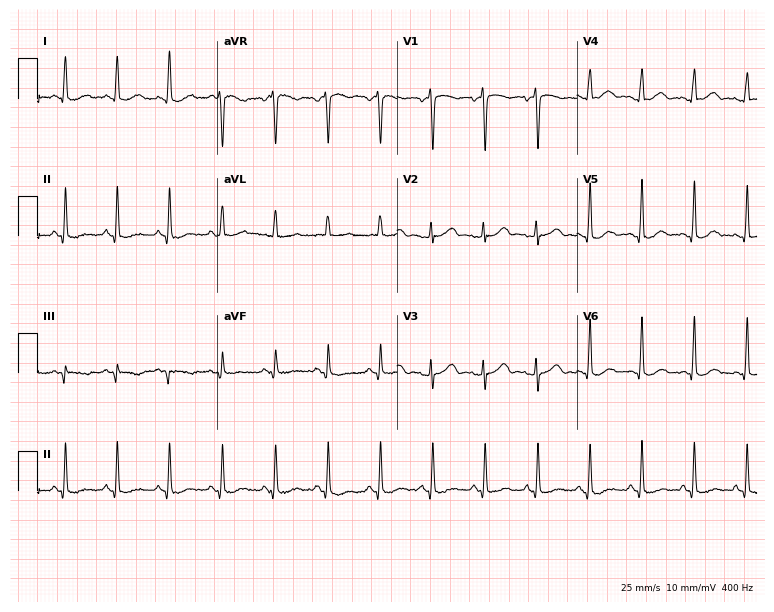
12-lead ECG from a female, 52 years old. Shows sinus tachycardia (a sinus rate of 100 beats per minute or more).